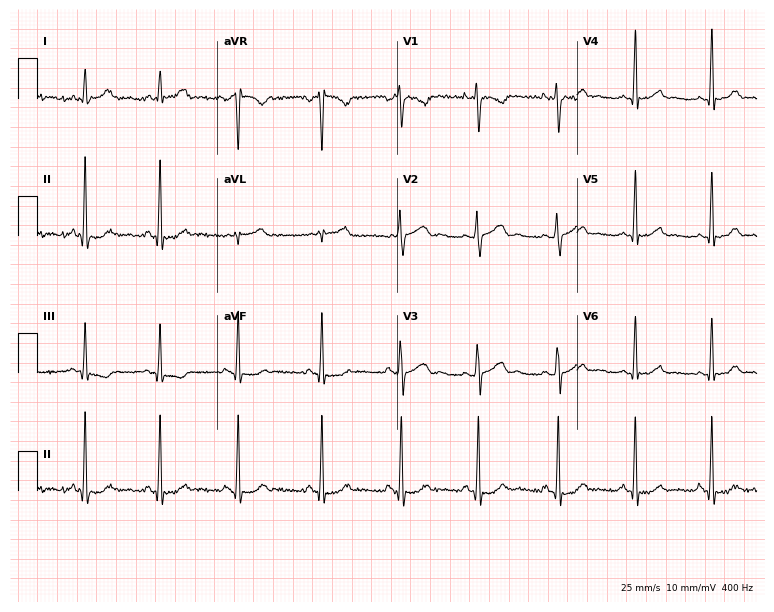
Electrocardiogram (7.3-second recording at 400 Hz), a female, 20 years old. Overall reading on record: normal ECG.